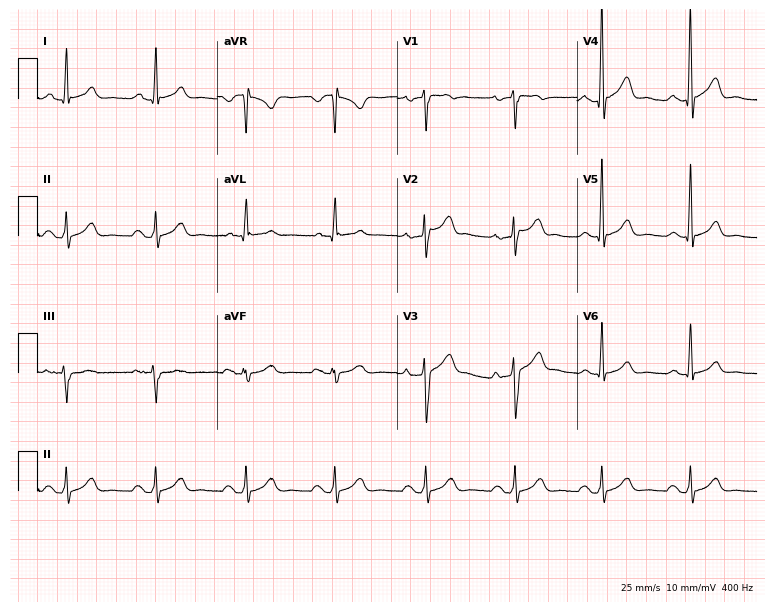
Electrocardiogram, a male patient, 48 years old. Overall reading on record: normal ECG.